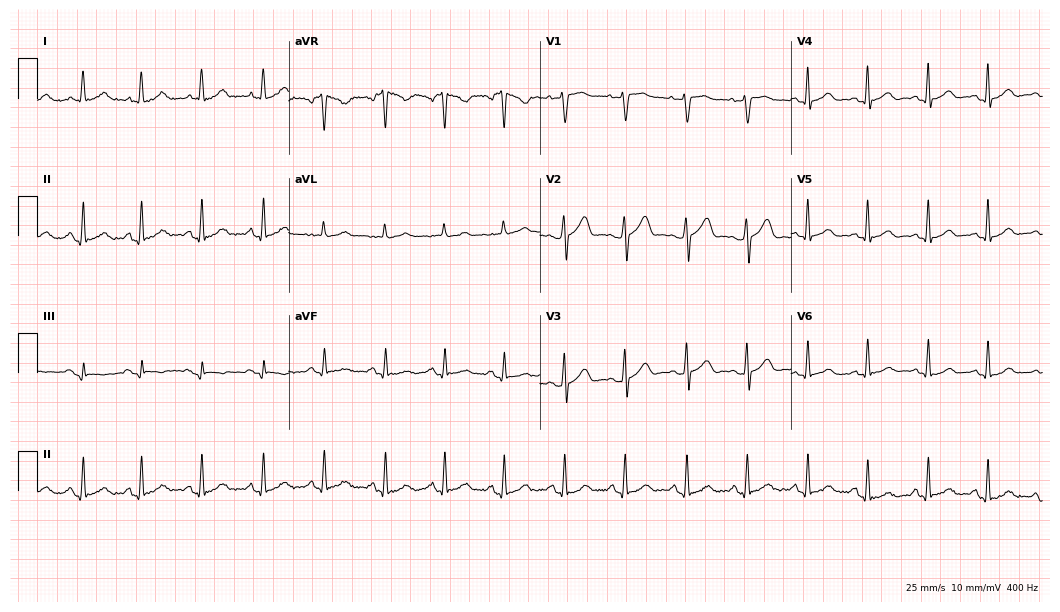
Electrocardiogram (10.2-second recording at 400 Hz), a female patient, 41 years old. Overall reading on record: normal ECG.